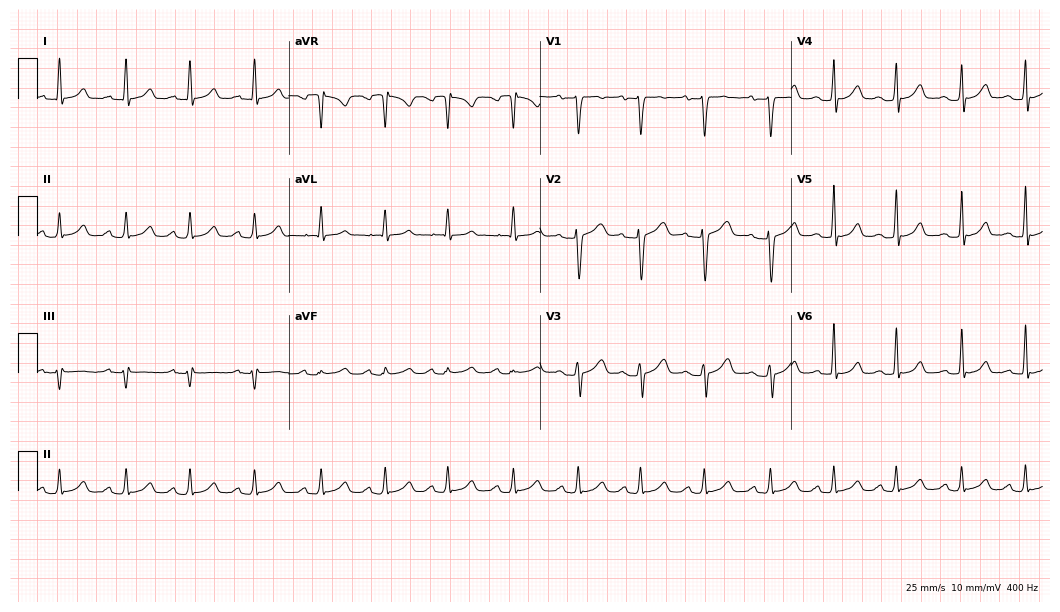
ECG (10.2-second recording at 400 Hz) — a 28-year-old female. Labelled as a normal ECG.